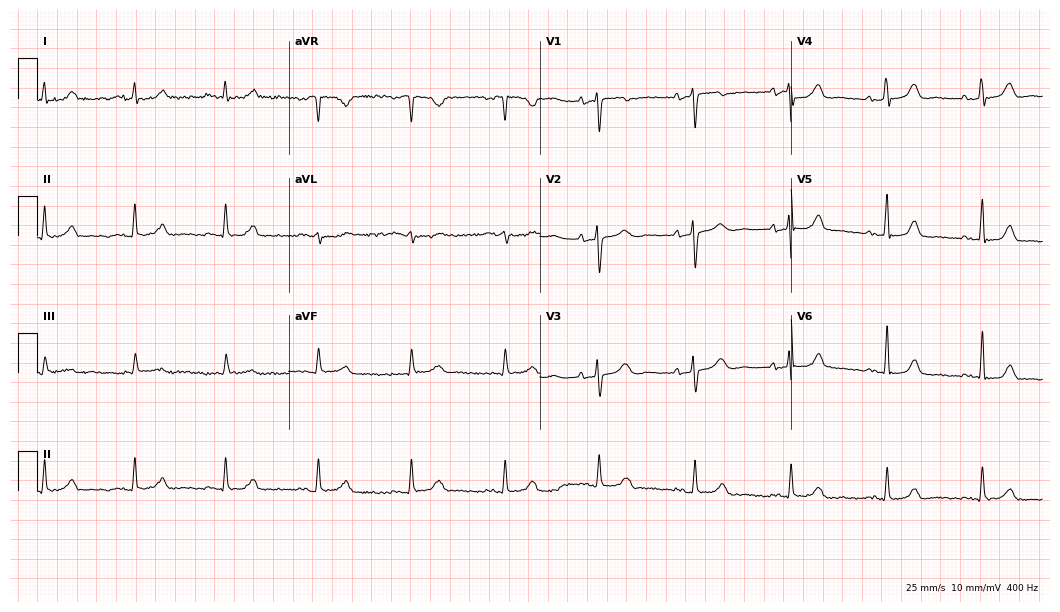
Electrocardiogram (10.2-second recording at 400 Hz), a 50-year-old woman. Overall reading on record: normal ECG.